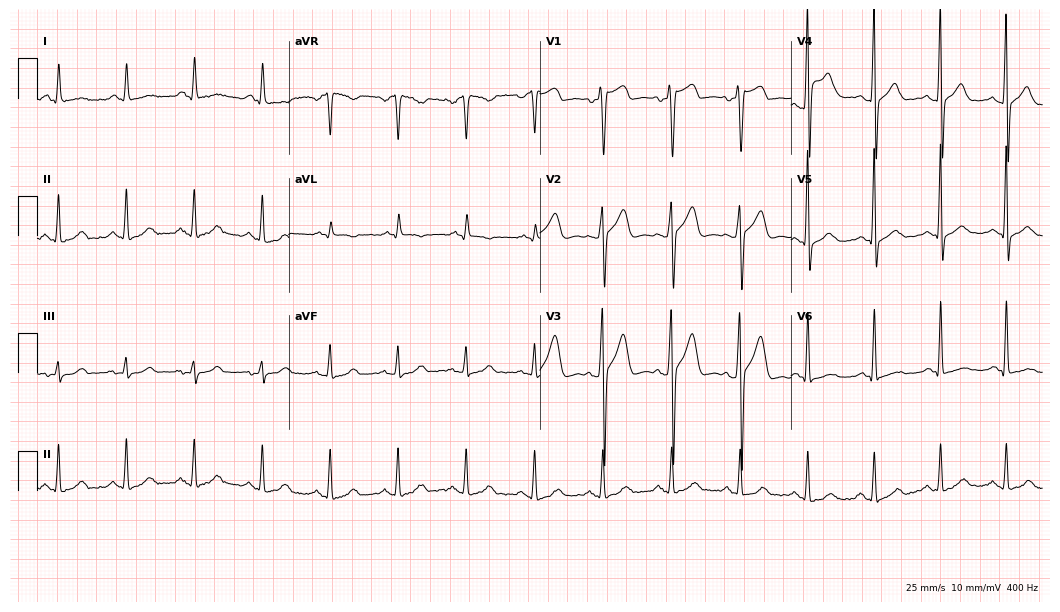
Standard 12-lead ECG recorded from a male patient, 38 years old (10.2-second recording at 400 Hz). Read as a normal ECG.